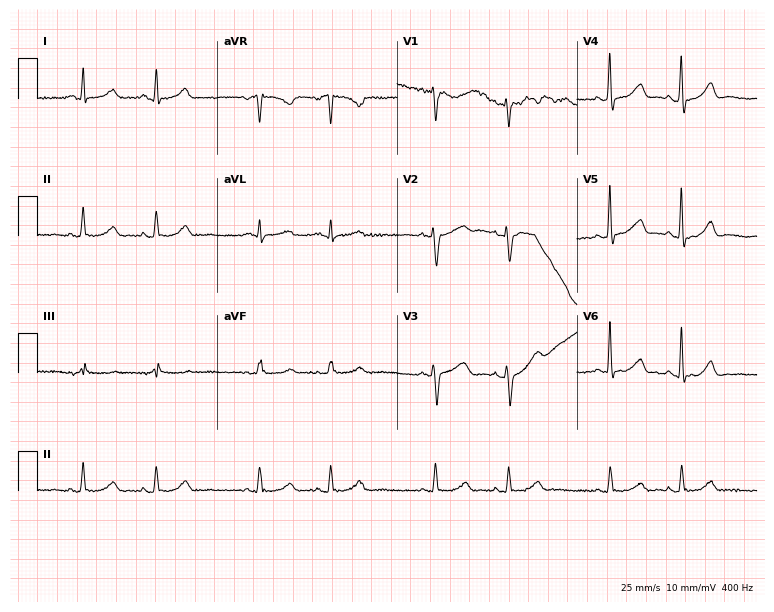
Resting 12-lead electrocardiogram. Patient: a female, 54 years old. None of these six findings is recorded: first-degree AV block, right bundle branch block, left bundle branch block, sinus bradycardia, atrial fibrillation, sinus tachycardia. Other findings, if any, are not listed.